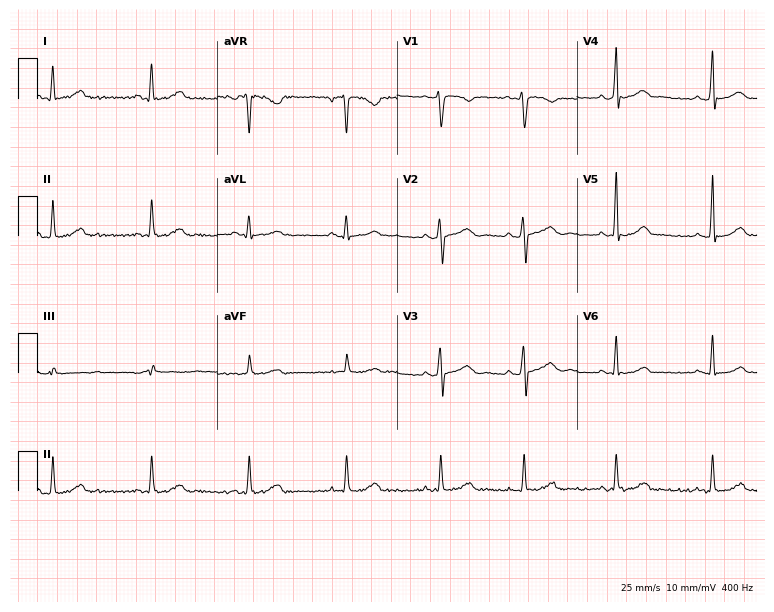
12-lead ECG from a 17-year-old female. No first-degree AV block, right bundle branch block (RBBB), left bundle branch block (LBBB), sinus bradycardia, atrial fibrillation (AF) or sinus tachycardia recorded for this tracing.